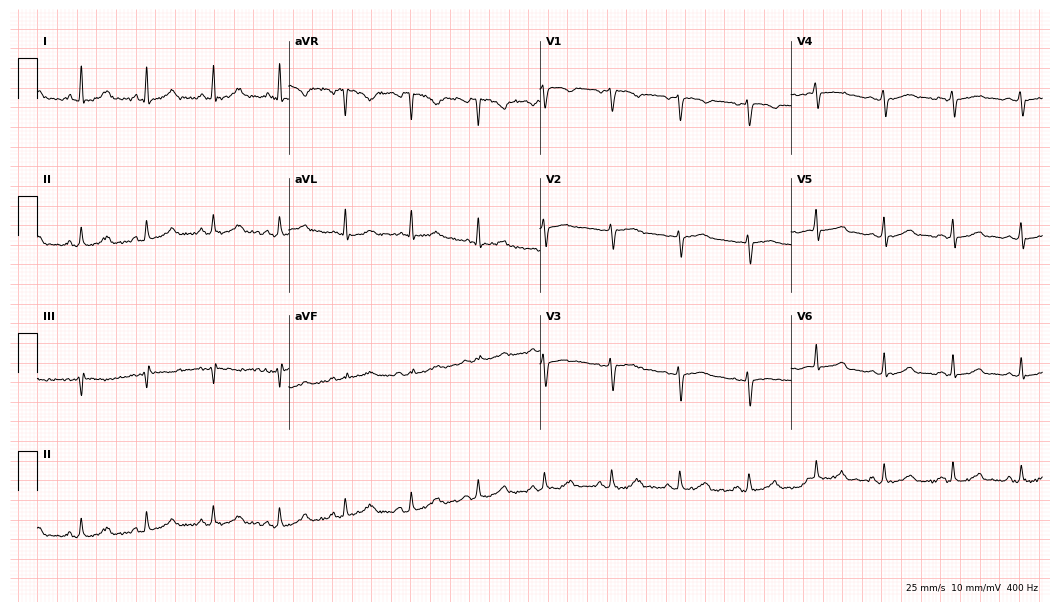
Resting 12-lead electrocardiogram (10.2-second recording at 400 Hz). Patient: a female, 34 years old. Read as a normal ECG.